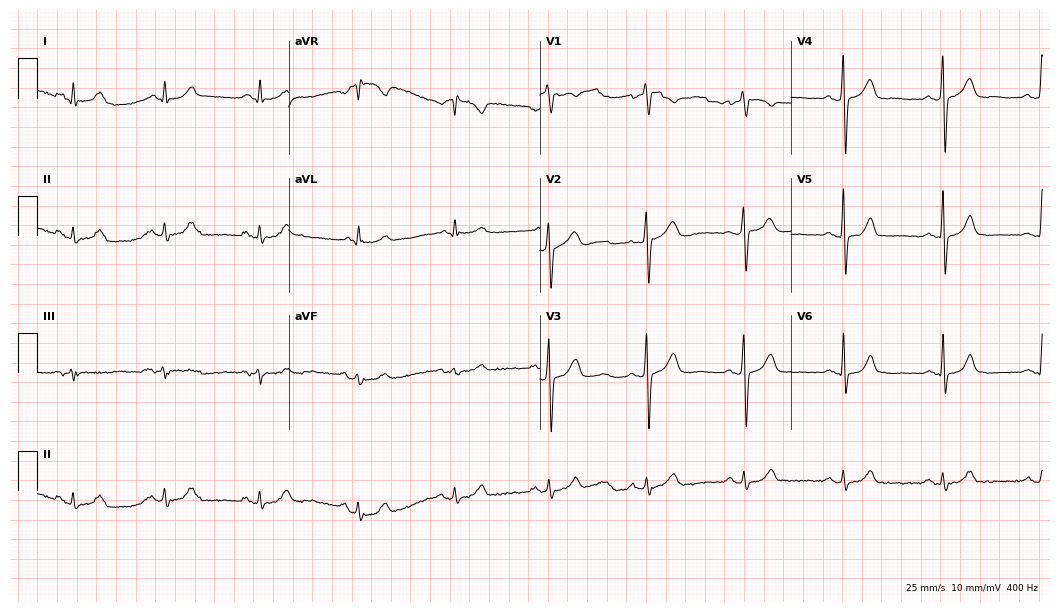
12-lead ECG from a man, 59 years old. Recorded interpretation: within normal limits.